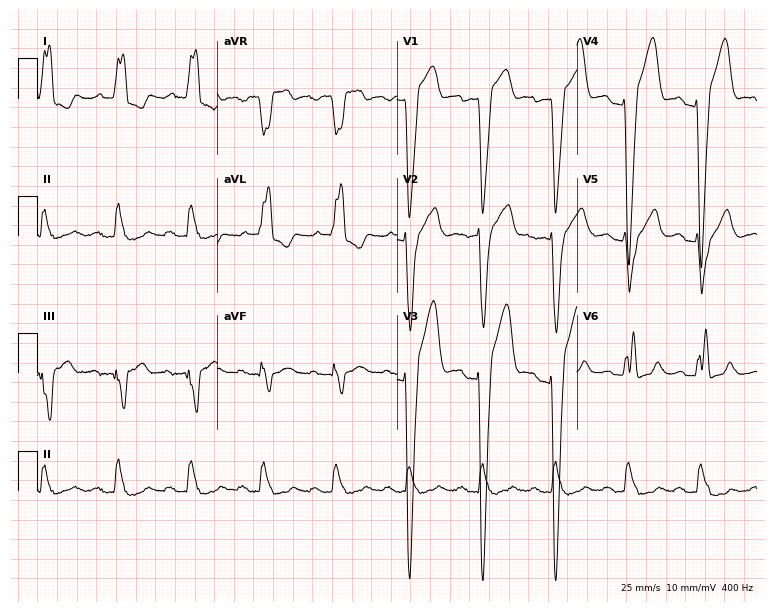
Standard 12-lead ECG recorded from a 71-year-old male patient. The tracing shows first-degree AV block, left bundle branch block.